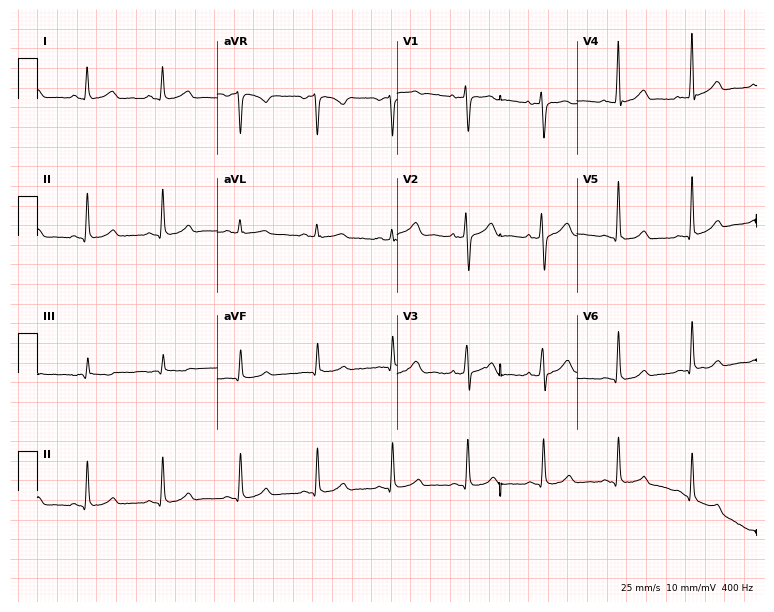
ECG — a male patient, 42 years old. Screened for six findings — first-degree AV block, right bundle branch block, left bundle branch block, sinus bradycardia, atrial fibrillation, sinus tachycardia — none is recorded.